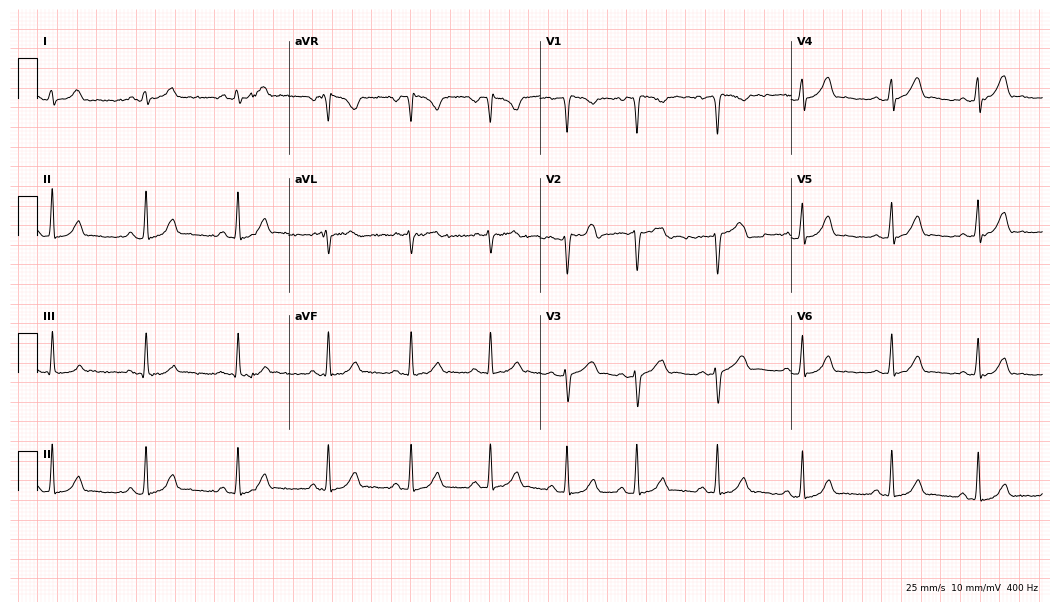
Resting 12-lead electrocardiogram. Patient: a female, 21 years old. Read as a normal ECG.